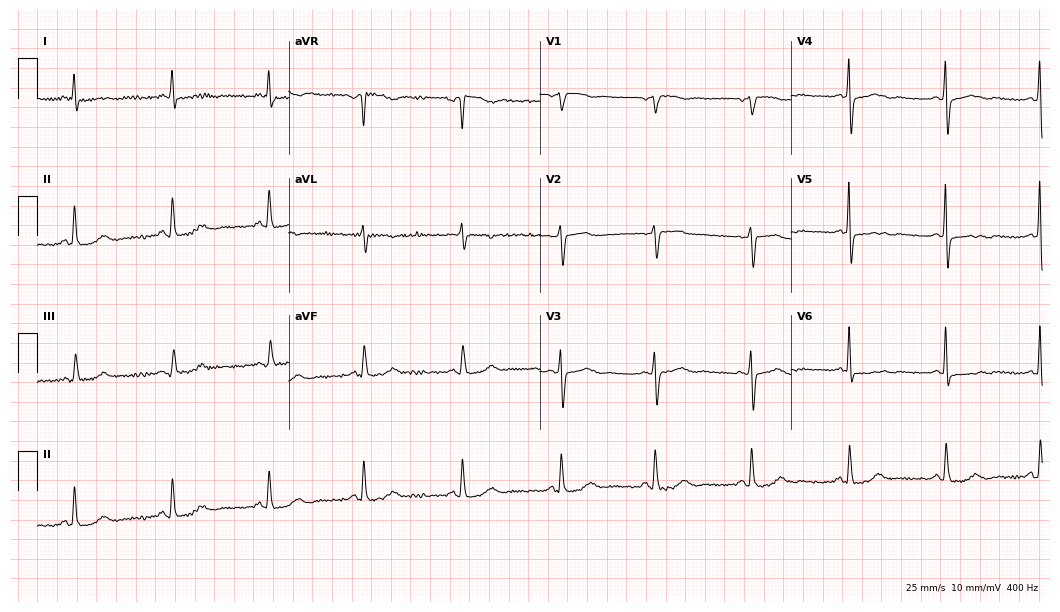
Resting 12-lead electrocardiogram (10.2-second recording at 400 Hz). Patient: a 76-year-old female. None of these six findings is recorded: first-degree AV block, right bundle branch block (RBBB), left bundle branch block (LBBB), sinus bradycardia, atrial fibrillation (AF), sinus tachycardia.